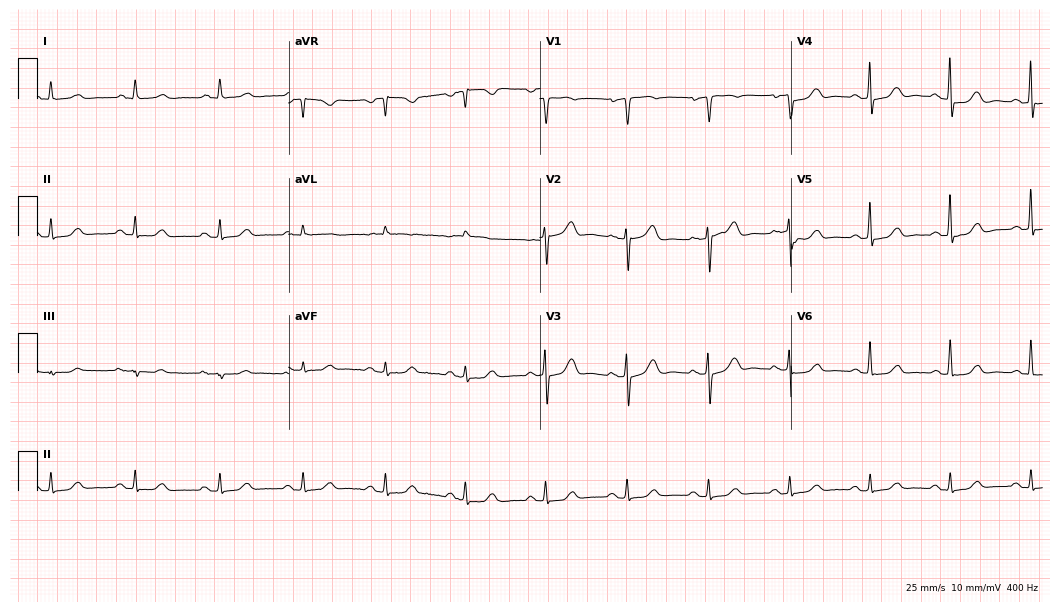
12-lead ECG from an 82-year-old female patient (10.2-second recording at 400 Hz). No first-degree AV block, right bundle branch block (RBBB), left bundle branch block (LBBB), sinus bradycardia, atrial fibrillation (AF) or sinus tachycardia recorded for this tracing.